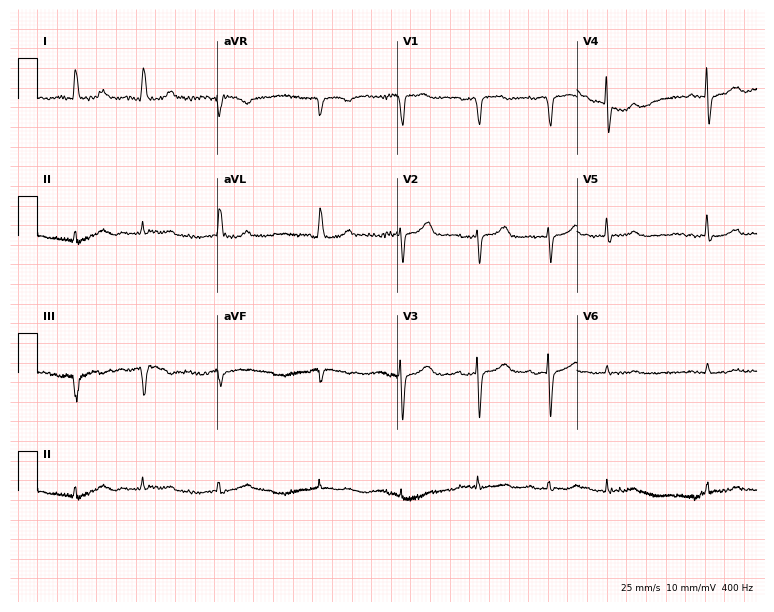
Standard 12-lead ECG recorded from a 74-year-old woman (7.3-second recording at 400 Hz). None of these six findings is recorded: first-degree AV block, right bundle branch block, left bundle branch block, sinus bradycardia, atrial fibrillation, sinus tachycardia. Other findings, if any, are not listed.